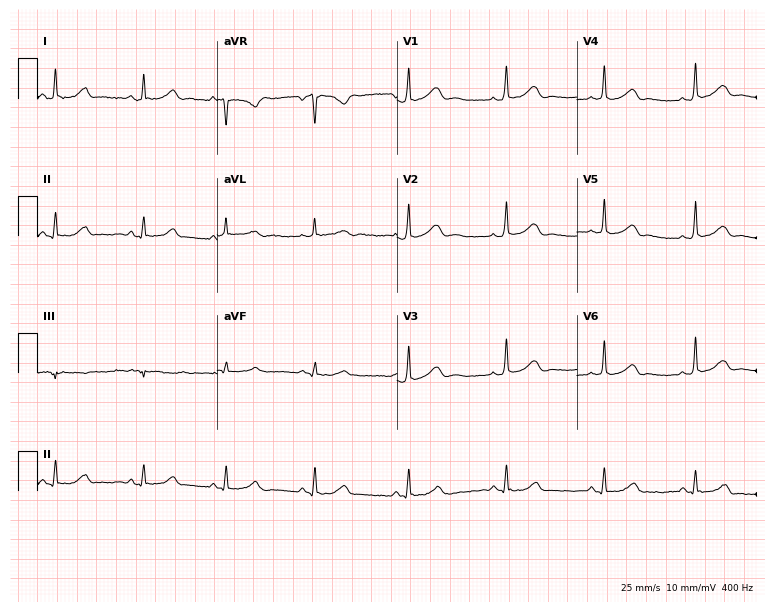
Resting 12-lead electrocardiogram (7.3-second recording at 400 Hz). Patient: a 23-year-old female. None of these six findings is recorded: first-degree AV block, right bundle branch block, left bundle branch block, sinus bradycardia, atrial fibrillation, sinus tachycardia. Other findings, if any, are not listed.